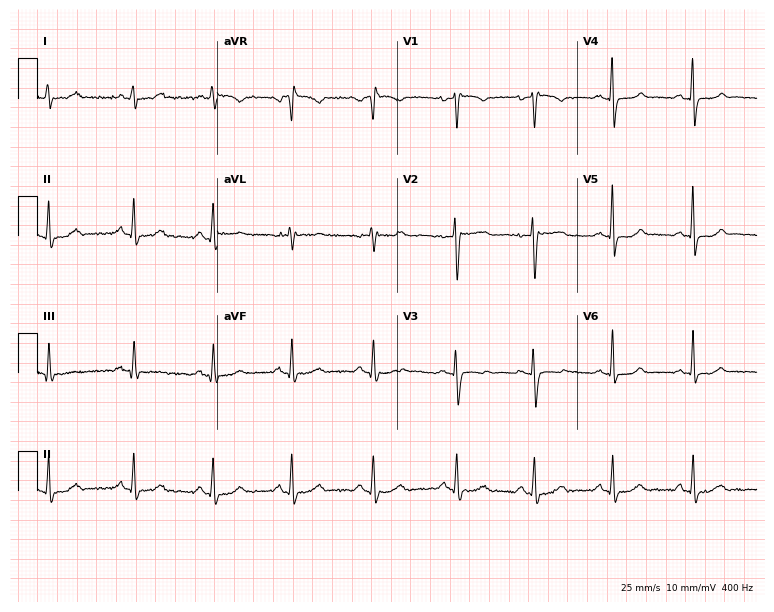
Electrocardiogram, a 47-year-old male. Overall reading on record: normal ECG.